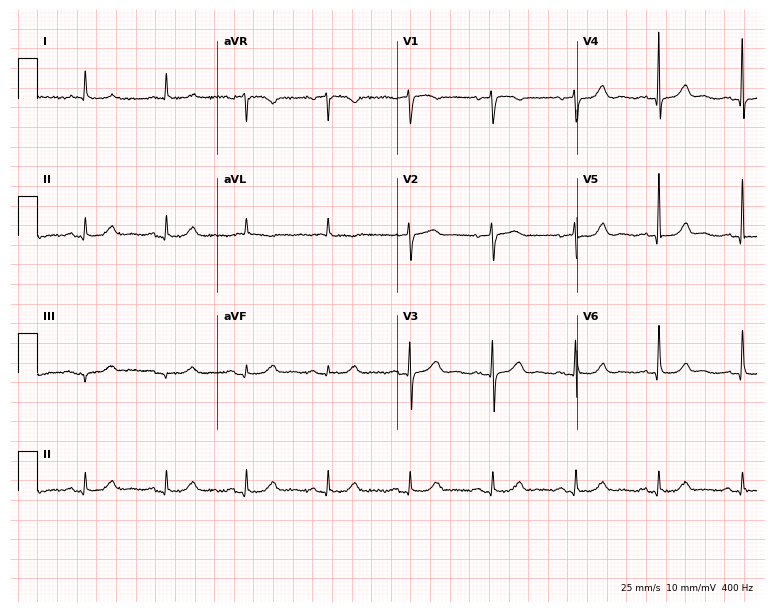
ECG (7.3-second recording at 400 Hz) — a 73-year-old male. Labelled as a normal ECG.